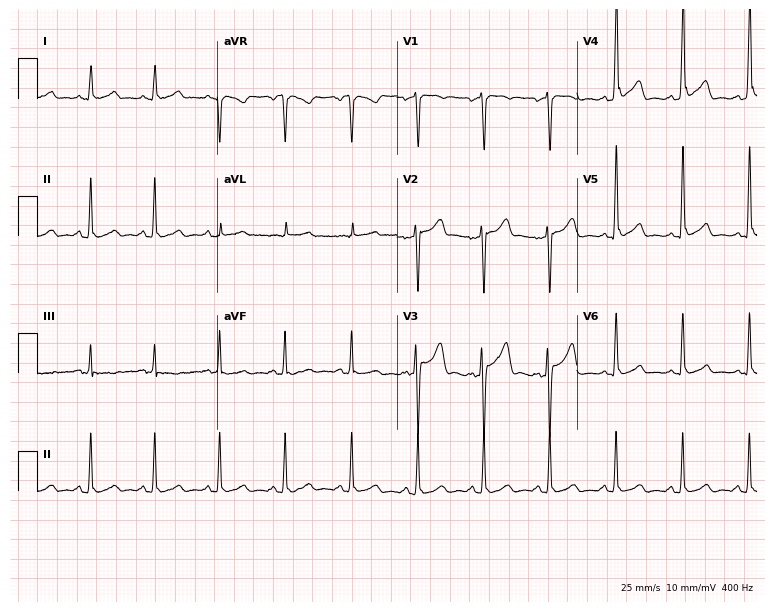
Standard 12-lead ECG recorded from a 57-year-old man. None of these six findings is recorded: first-degree AV block, right bundle branch block, left bundle branch block, sinus bradycardia, atrial fibrillation, sinus tachycardia.